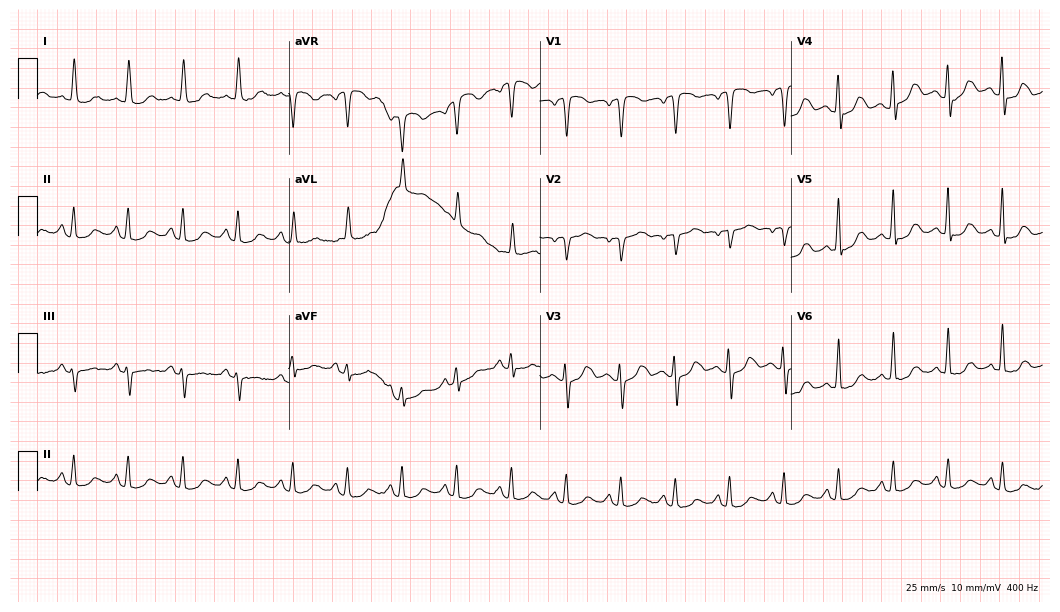
Resting 12-lead electrocardiogram (10.2-second recording at 400 Hz). Patient: a 74-year-old female. The tracing shows sinus tachycardia (a sinus rate of 100 beats per minute or more).